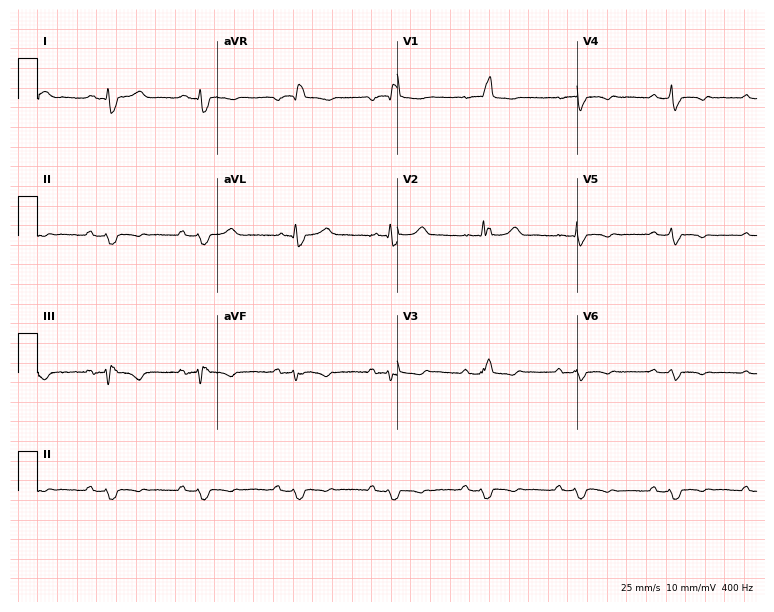
ECG (7.3-second recording at 400 Hz) — a 67-year-old female patient. Findings include right bundle branch block.